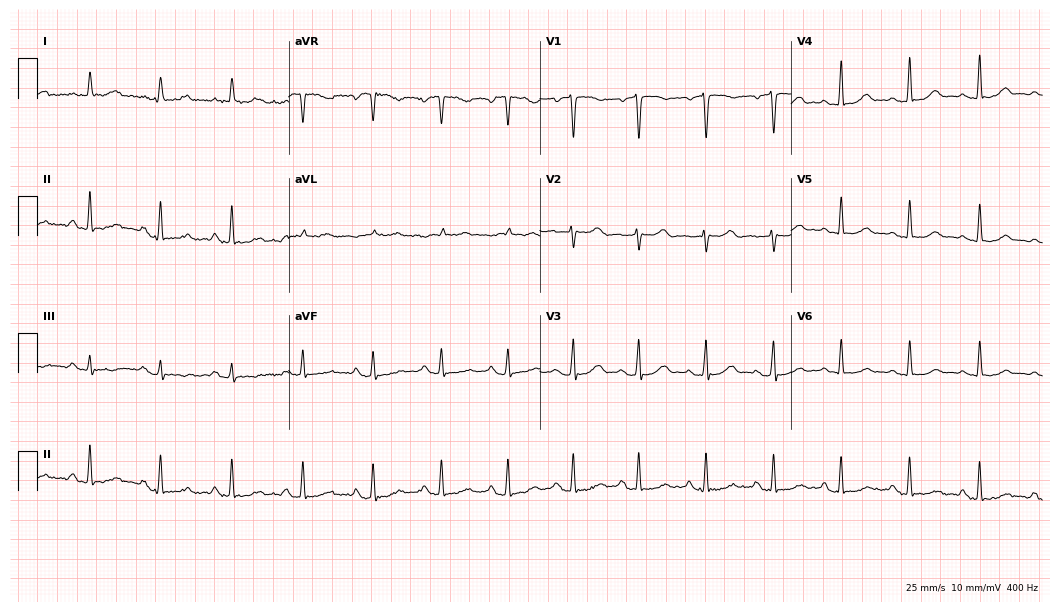
12-lead ECG from a 36-year-old woman. Screened for six findings — first-degree AV block, right bundle branch block, left bundle branch block, sinus bradycardia, atrial fibrillation, sinus tachycardia — none is recorded.